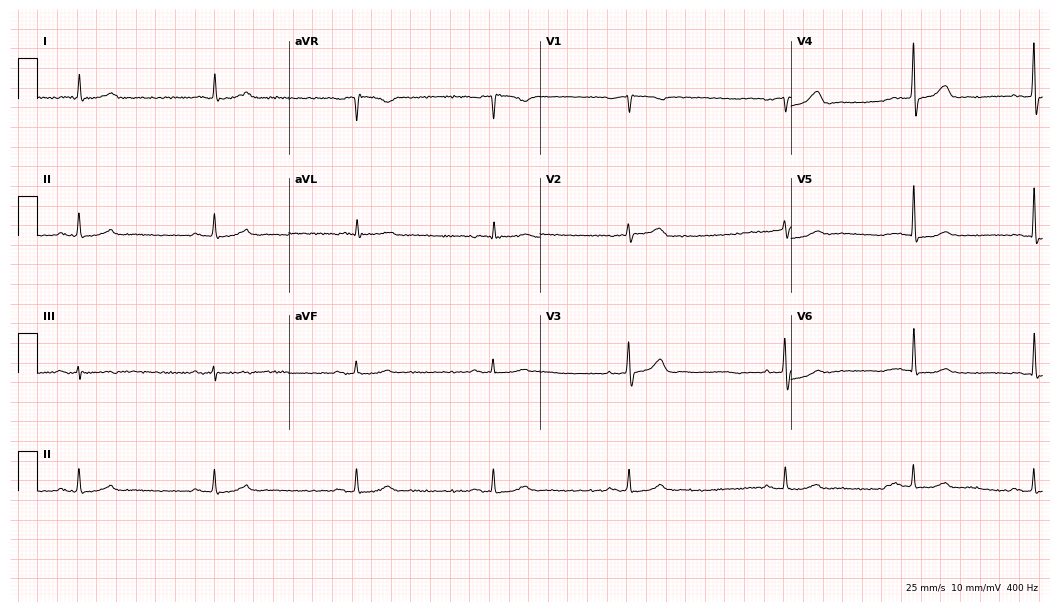
ECG (10.2-second recording at 400 Hz) — an 80-year-old male. Screened for six findings — first-degree AV block, right bundle branch block (RBBB), left bundle branch block (LBBB), sinus bradycardia, atrial fibrillation (AF), sinus tachycardia — none is recorded. Findings outside these six are not listed.